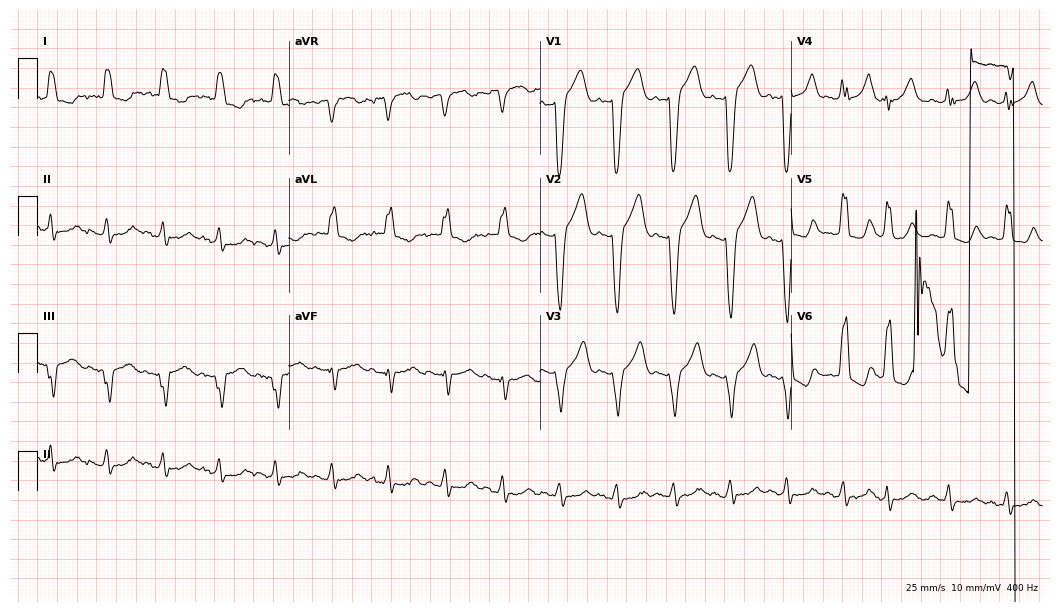
12-lead ECG from a male, 82 years old. Findings include left bundle branch block, sinus tachycardia (a sinus rate of 100 beats per minute or more).